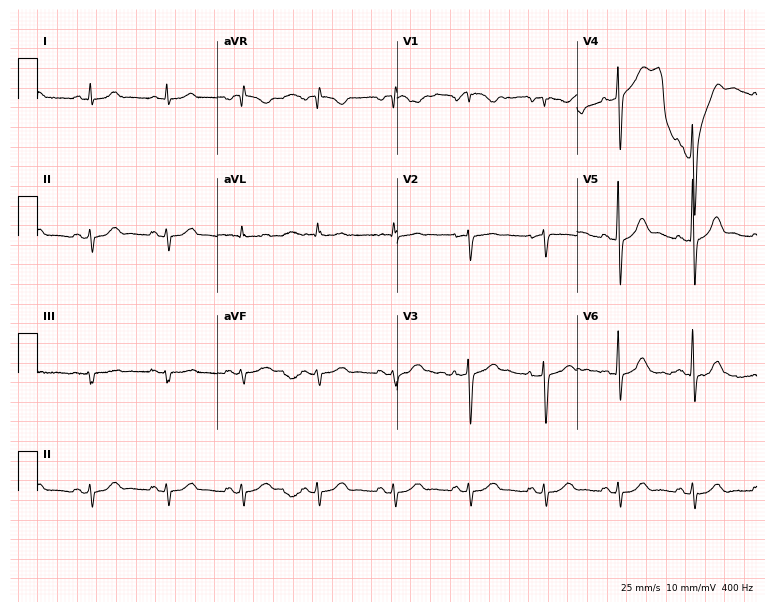
Standard 12-lead ECG recorded from a 69-year-old male. None of these six findings is recorded: first-degree AV block, right bundle branch block, left bundle branch block, sinus bradycardia, atrial fibrillation, sinus tachycardia. Other findings, if any, are not listed.